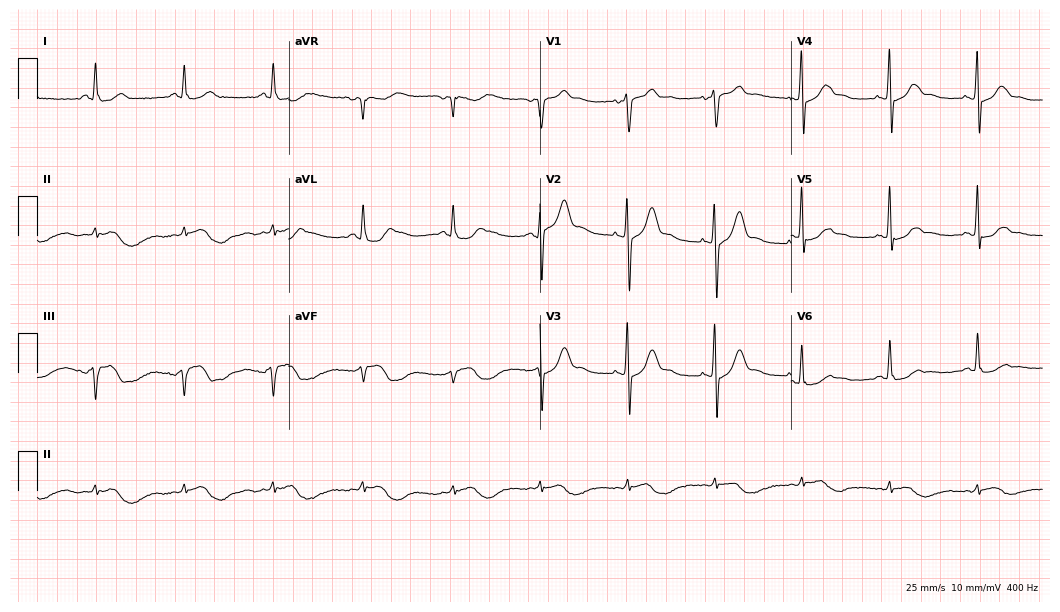
Standard 12-lead ECG recorded from a male, 64 years old. None of these six findings is recorded: first-degree AV block, right bundle branch block, left bundle branch block, sinus bradycardia, atrial fibrillation, sinus tachycardia.